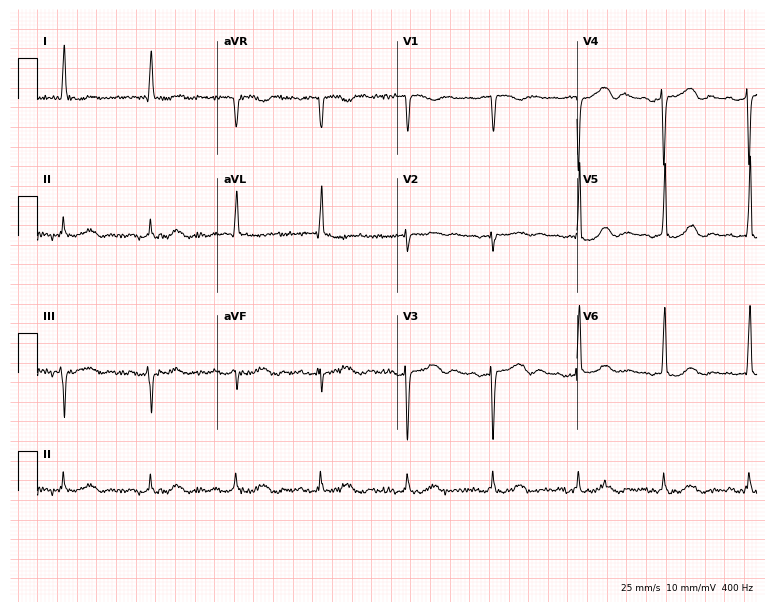
Electrocardiogram, a 79-year-old female. Of the six screened findings (first-degree AV block, right bundle branch block (RBBB), left bundle branch block (LBBB), sinus bradycardia, atrial fibrillation (AF), sinus tachycardia), none is recorded.